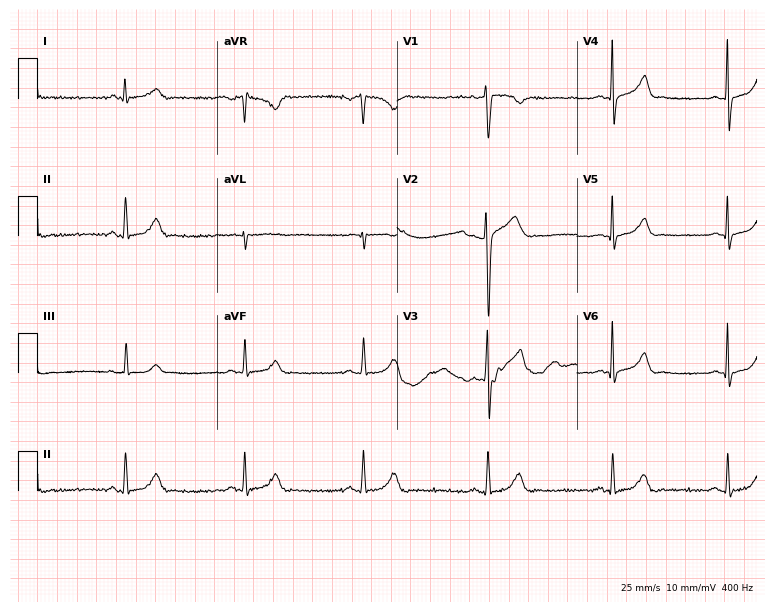
ECG — a 31-year-old male patient. Findings include sinus bradycardia (a sinus rate of 50 beats per minute or less).